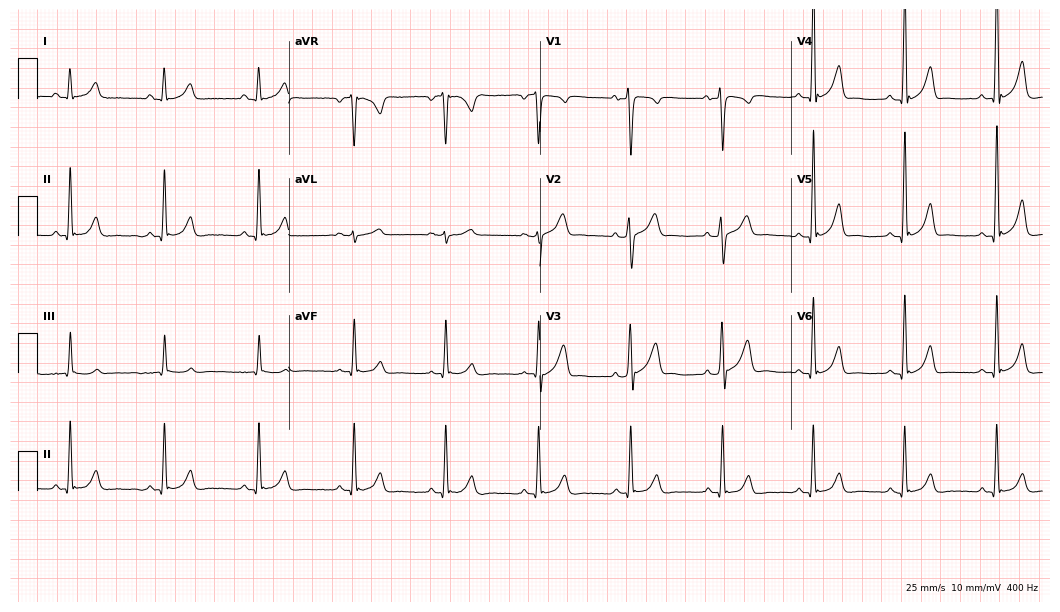
Resting 12-lead electrocardiogram (10.2-second recording at 400 Hz). Patient: a 40-year-old male. Read as a normal ECG.